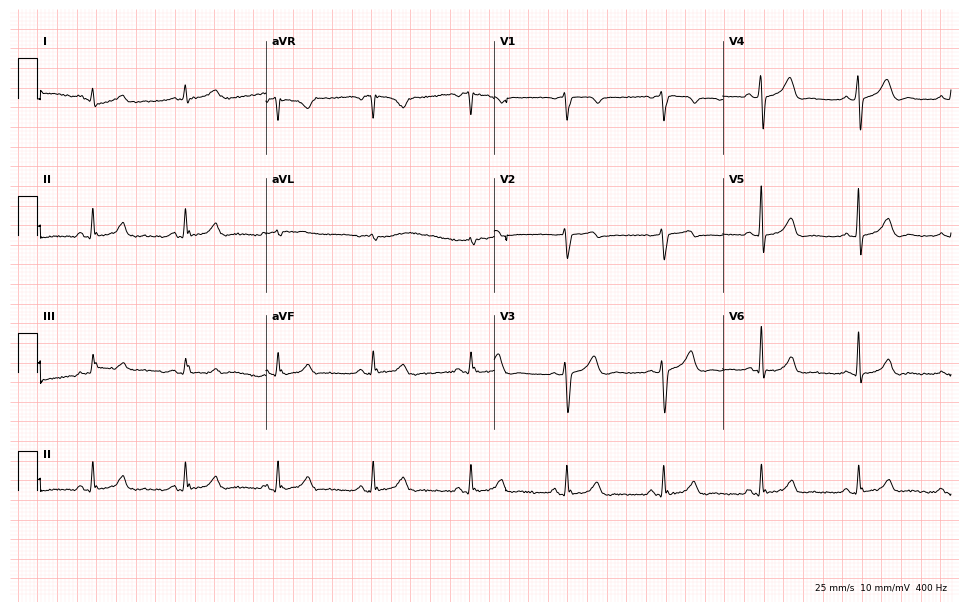
12-lead ECG from a 57-year-old male patient. Labelled as a normal ECG.